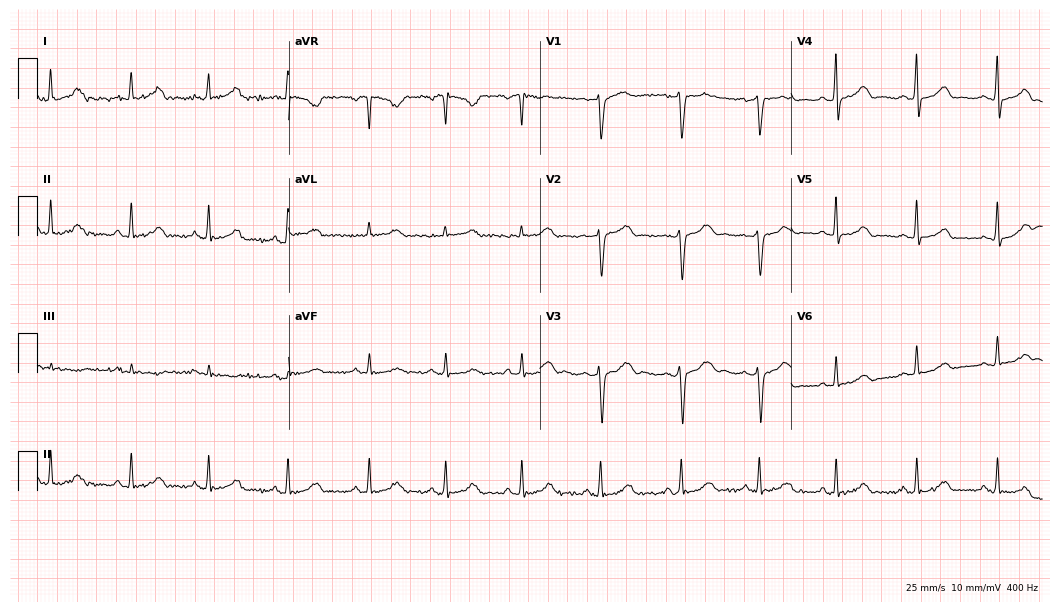
12-lead ECG from a 44-year-old woman. Labelled as a normal ECG.